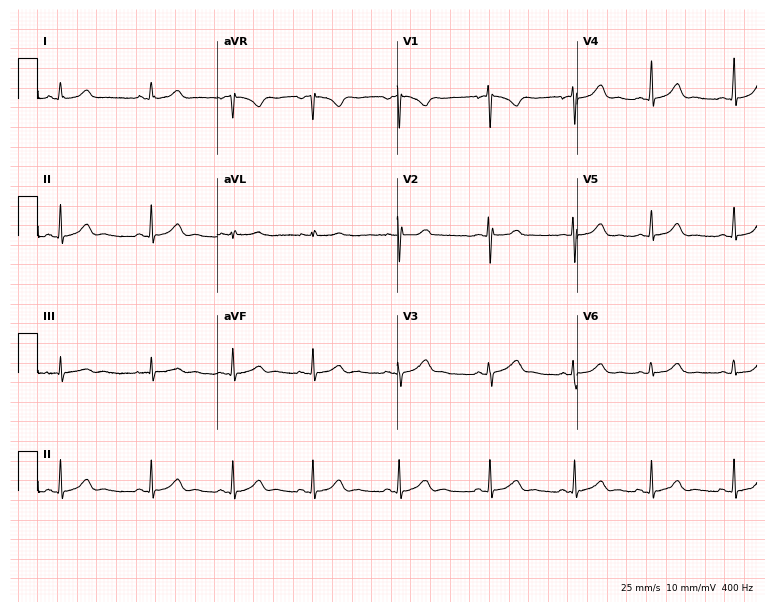
12-lead ECG from a female patient, 20 years old. Screened for six findings — first-degree AV block, right bundle branch block, left bundle branch block, sinus bradycardia, atrial fibrillation, sinus tachycardia — none is recorded. Findings outside these six are not listed.